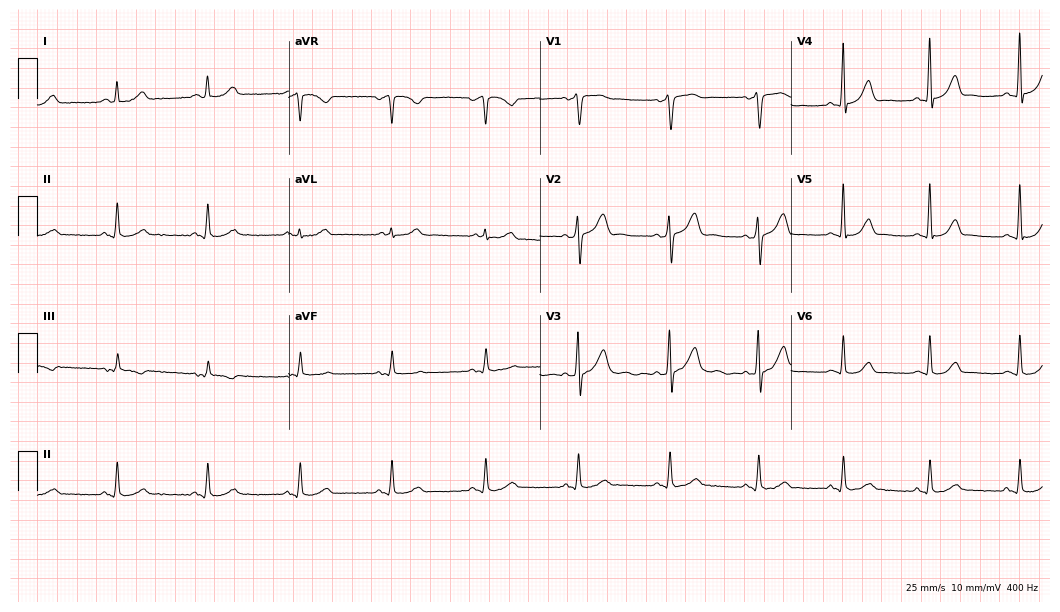
12-lead ECG (10.2-second recording at 400 Hz) from a 64-year-old male. Screened for six findings — first-degree AV block, right bundle branch block, left bundle branch block, sinus bradycardia, atrial fibrillation, sinus tachycardia — none is recorded. Other findings, if any, are not listed.